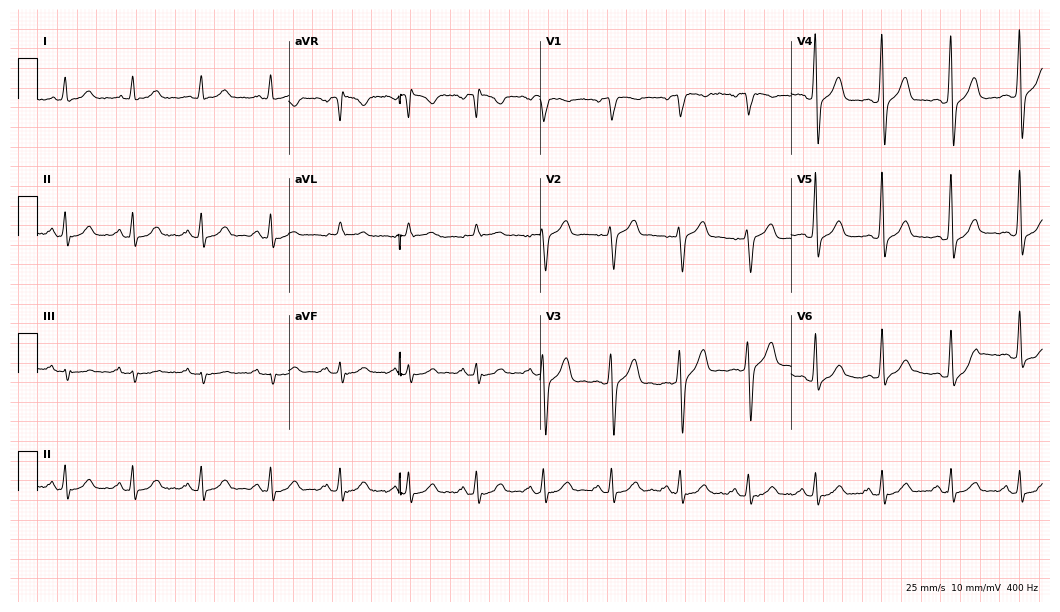
12-lead ECG from a man, 69 years old (10.2-second recording at 400 Hz). Recorded interpretation: within normal limits.